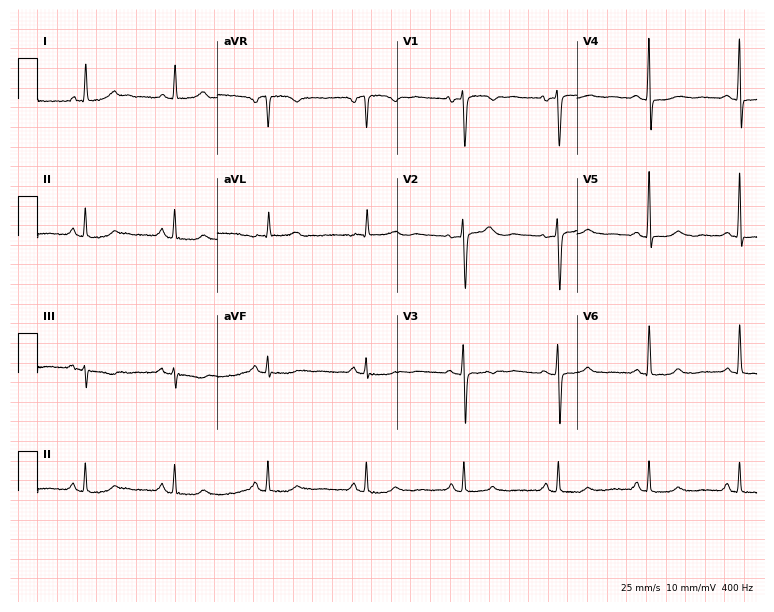
Electrocardiogram, a 30-year-old female. Overall reading on record: normal ECG.